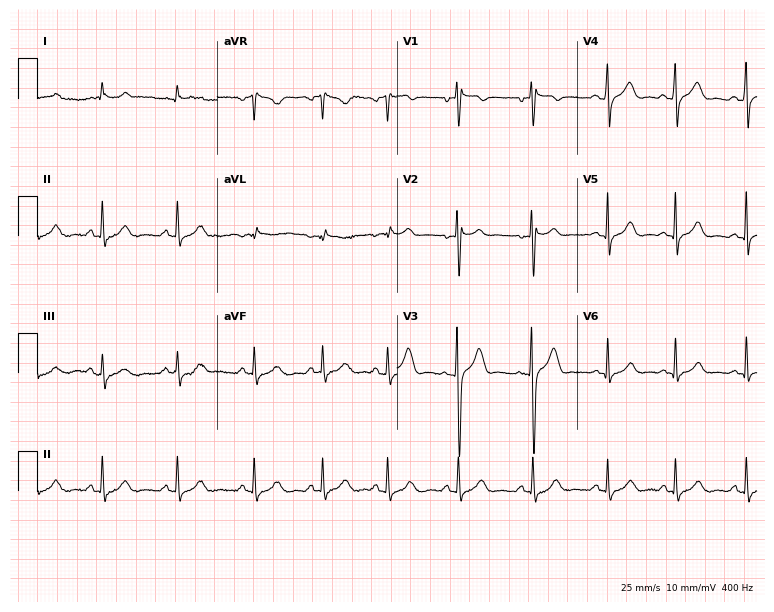
12-lead ECG from a female, 36 years old. Screened for six findings — first-degree AV block, right bundle branch block, left bundle branch block, sinus bradycardia, atrial fibrillation, sinus tachycardia — none is recorded.